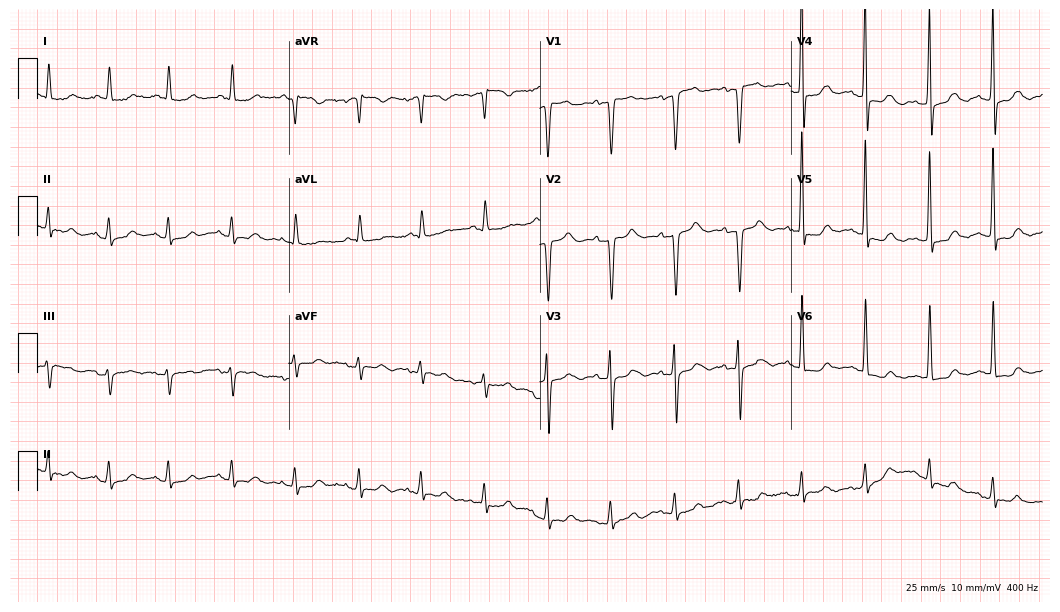
12-lead ECG (10.2-second recording at 400 Hz) from a woman, 72 years old. Screened for six findings — first-degree AV block, right bundle branch block, left bundle branch block, sinus bradycardia, atrial fibrillation, sinus tachycardia — none is recorded.